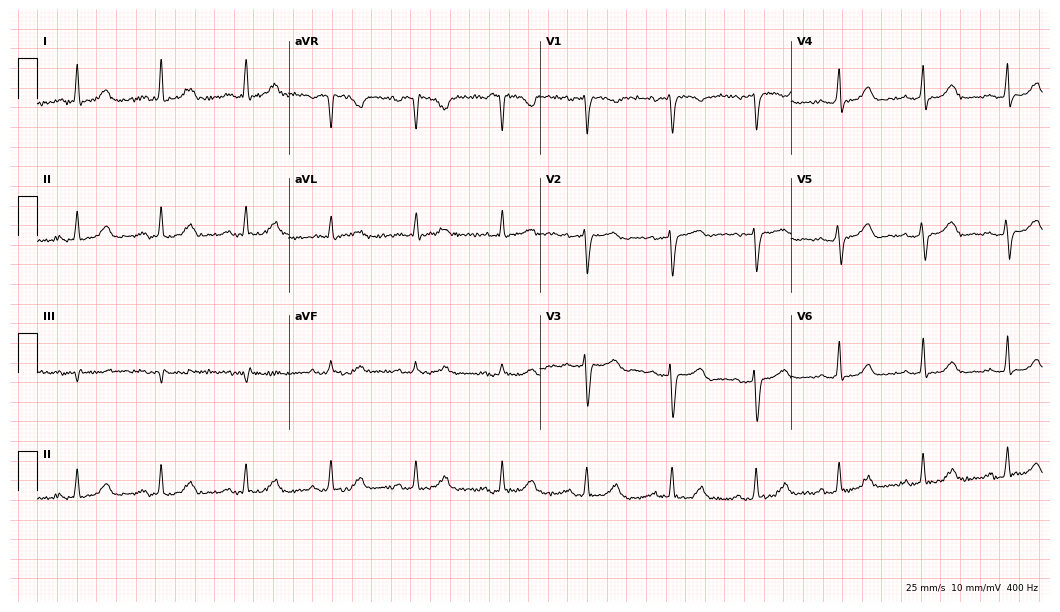
12-lead ECG (10.2-second recording at 400 Hz) from a female, 57 years old. Screened for six findings — first-degree AV block, right bundle branch block, left bundle branch block, sinus bradycardia, atrial fibrillation, sinus tachycardia — none is recorded. Only these six findings were labelled.